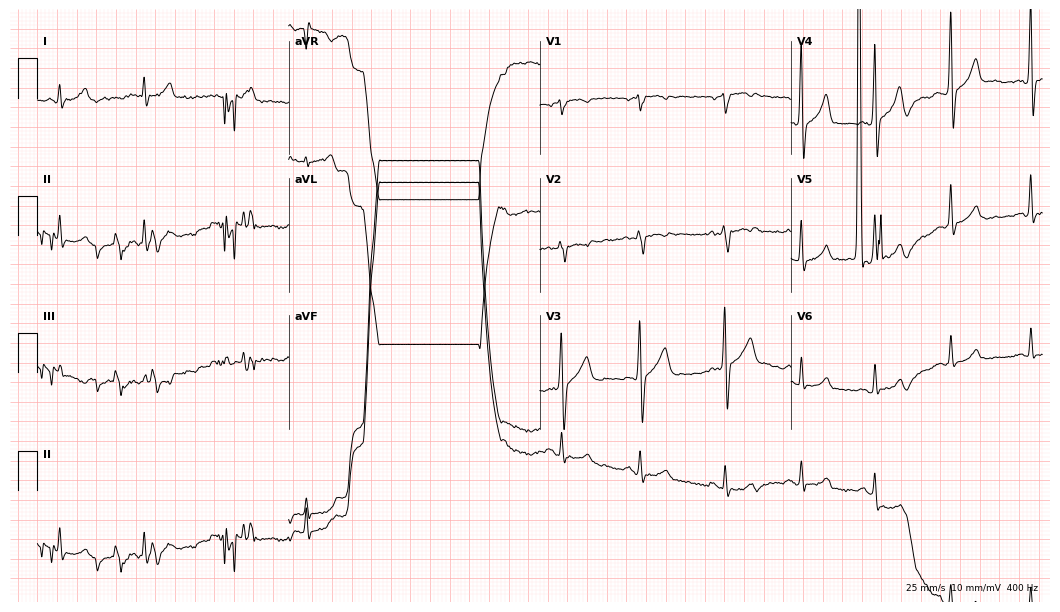
Electrocardiogram, a male patient, 36 years old. Of the six screened findings (first-degree AV block, right bundle branch block (RBBB), left bundle branch block (LBBB), sinus bradycardia, atrial fibrillation (AF), sinus tachycardia), none is recorded. Other findings, if any, are not listed.